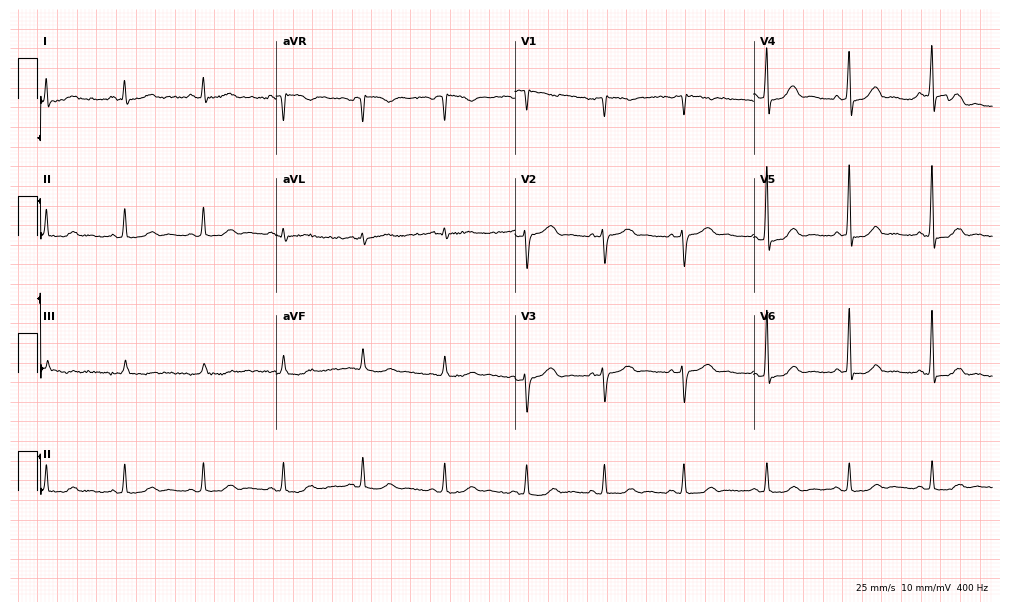
ECG (9.7-second recording at 400 Hz) — a 59-year-old female patient. Screened for six findings — first-degree AV block, right bundle branch block, left bundle branch block, sinus bradycardia, atrial fibrillation, sinus tachycardia — none is recorded. Only these six findings were labelled.